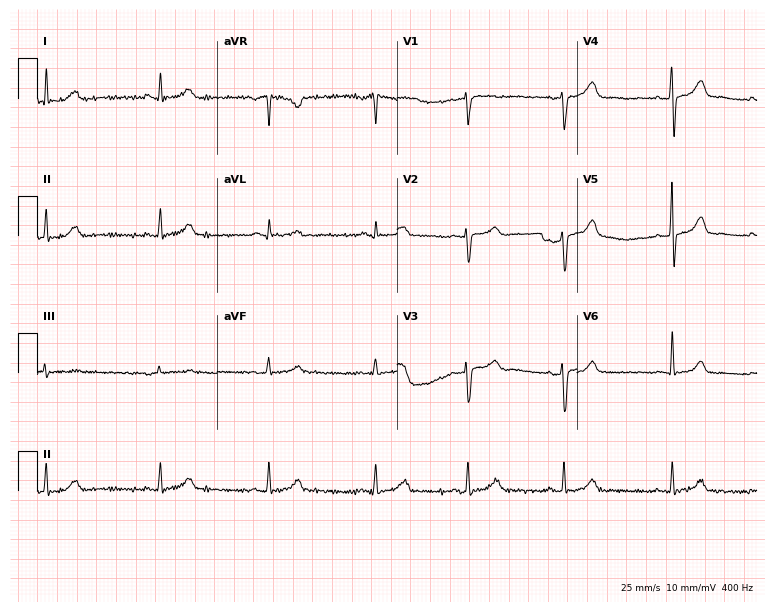
Resting 12-lead electrocardiogram (7.3-second recording at 400 Hz). Patient: a woman, 36 years old. None of these six findings is recorded: first-degree AV block, right bundle branch block (RBBB), left bundle branch block (LBBB), sinus bradycardia, atrial fibrillation (AF), sinus tachycardia. Only these six findings were labelled.